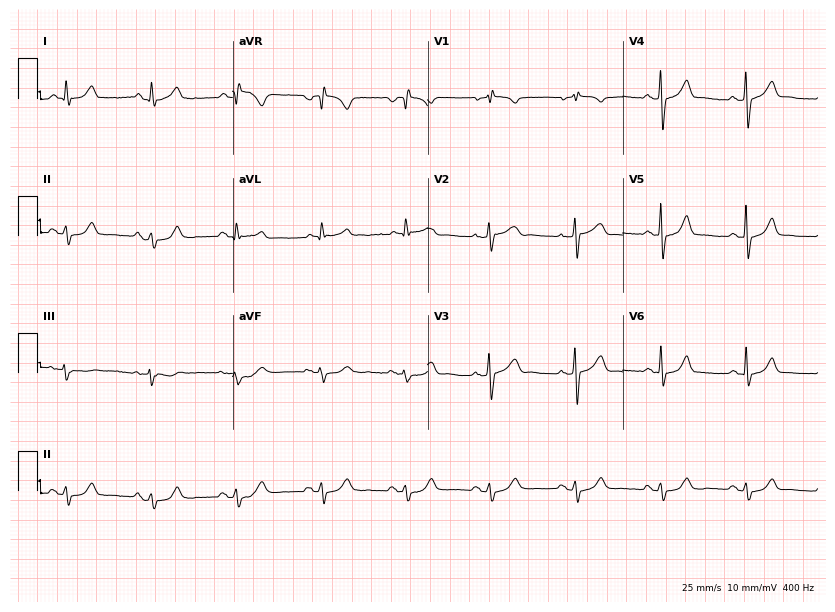
12-lead ECG (8-second recording at 400 Hz) from a 71-year-old man. Screened for six findings — first-degree AV block, right bundle branch block, left bundle branch block, sinus bradycardia, atrial fibrillation, sinus tachycardia — none is recorded.